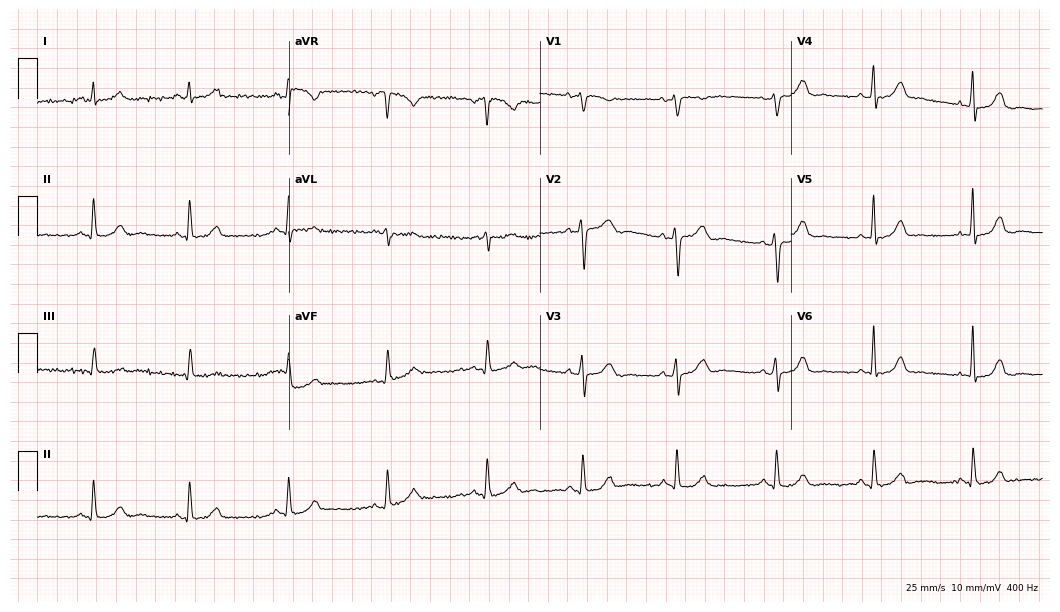
Standard 12-lead ECG recorded from a female patient, 50 years old. None of these six findings is recorded: first-degree AV block, right bundle branch block, left bundle branch block, sinus bradycardia, atrial fibrillation, sinus tachycardia. Only these six findings were labelled.